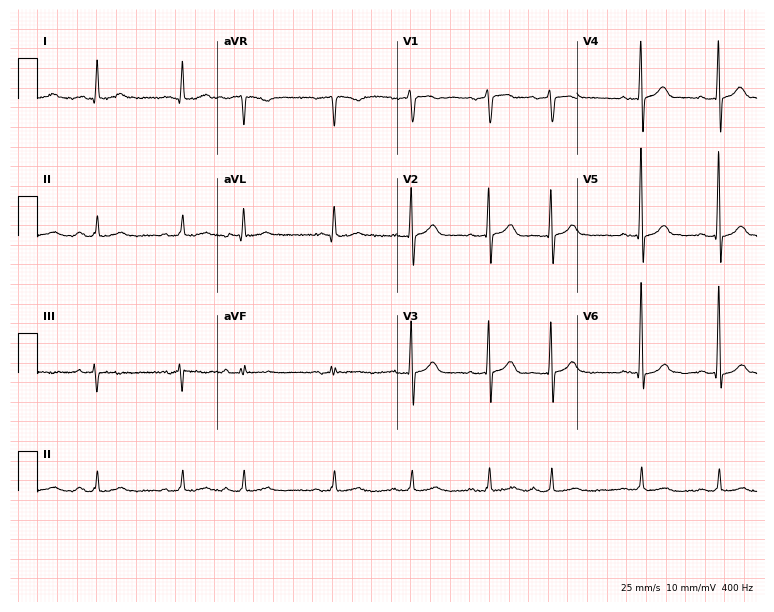
Resting 12-lead electrocardiogram (7.3-second recording at 400 Hz). Patient: a 78-year-old man. None of these six findings is recorded: first-degree AV block, right bundle branch block, left bundle branch block, sinus bradycardia, atrial fibrillation, sinus tachycardia.